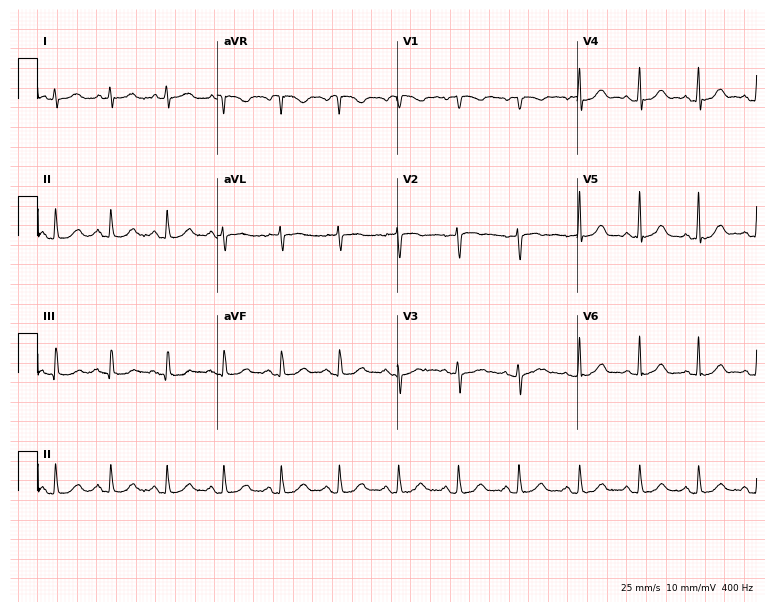
Resting 12-lead electrocardiogram (7.3-second recording at 400 Hz). Patient: a 43-year-old woman. Read as a normal ECG.